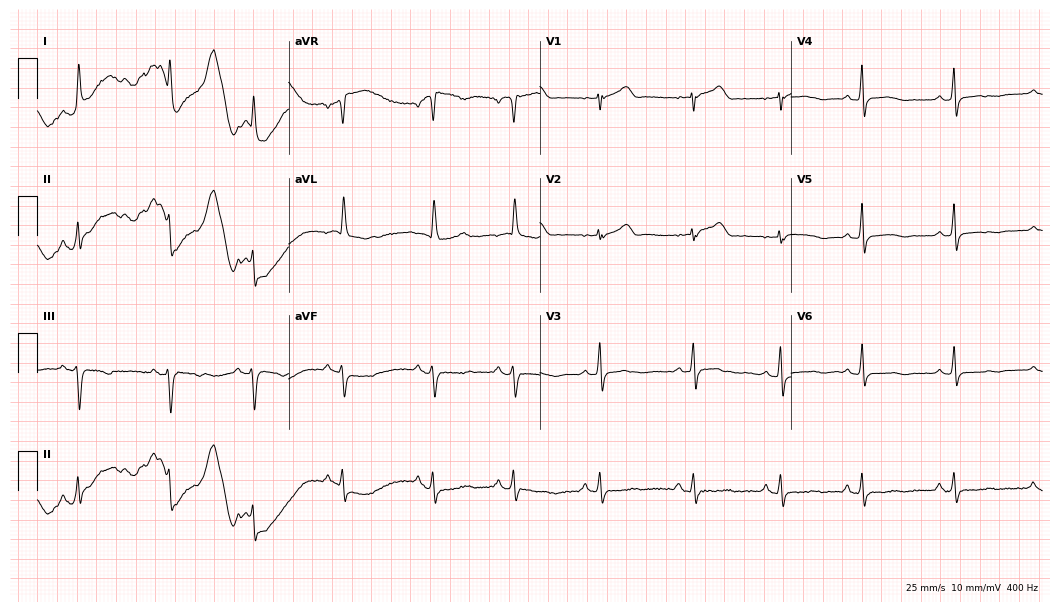
Electrocardiogram, an 82-year-old female patient. Of the six screened findings (first-degree AV block, right bundle branch block, left bundle branch block, sinus bradycardia, atrial fibrillation, sinus tachycardia), none is recorded.